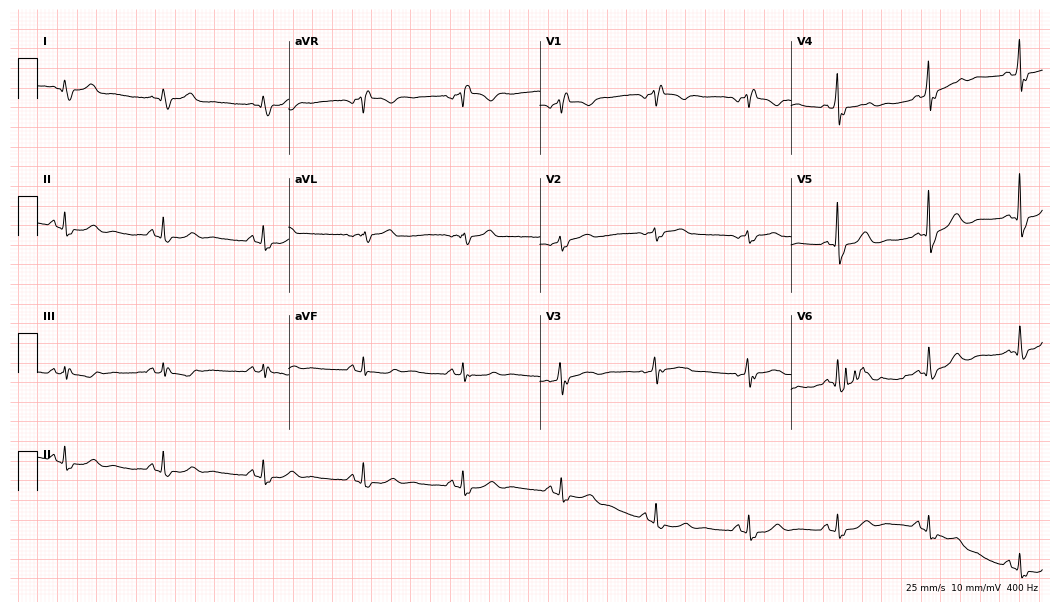
Standard 12-lead ECG recorded from a 57-year-old woman (10.2-second recording at 400 Hz). The tracing shows right bundle branch block (RBBB).